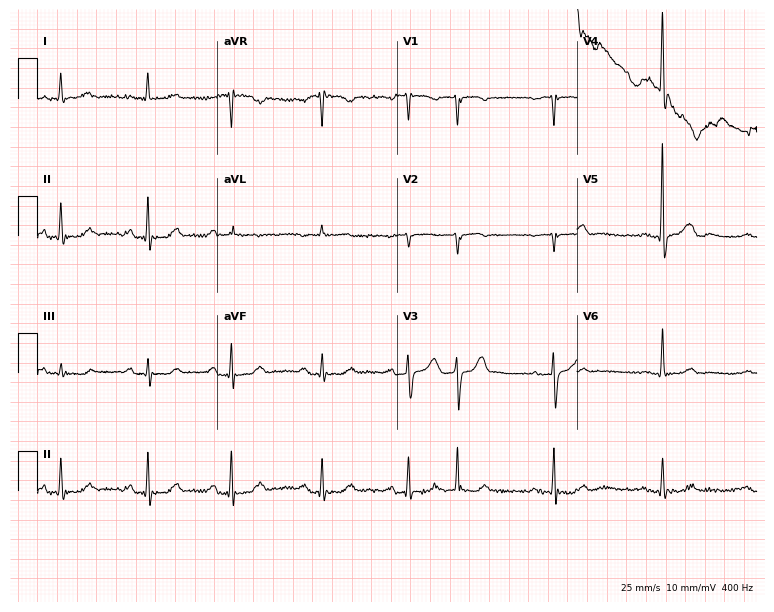
ECG — a 76-year-old female patient. Labelled as a normal ECG.